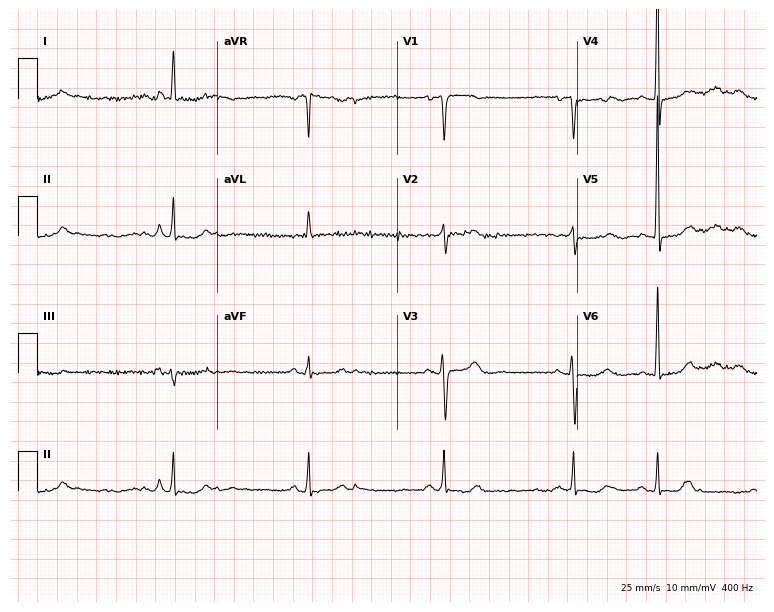
ECG — a 59-year-old woman. Findings include sinus bradycardia (a sinus rate of 50 beats per minute or less).